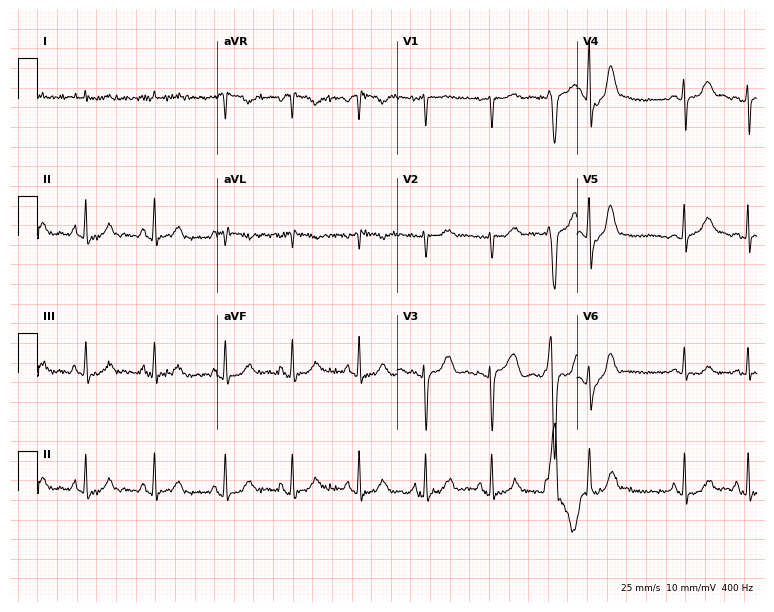
ECG (7.3-second recording at 400 Hz) — a 35-year-old female patient. Labelled as a normal ECG.